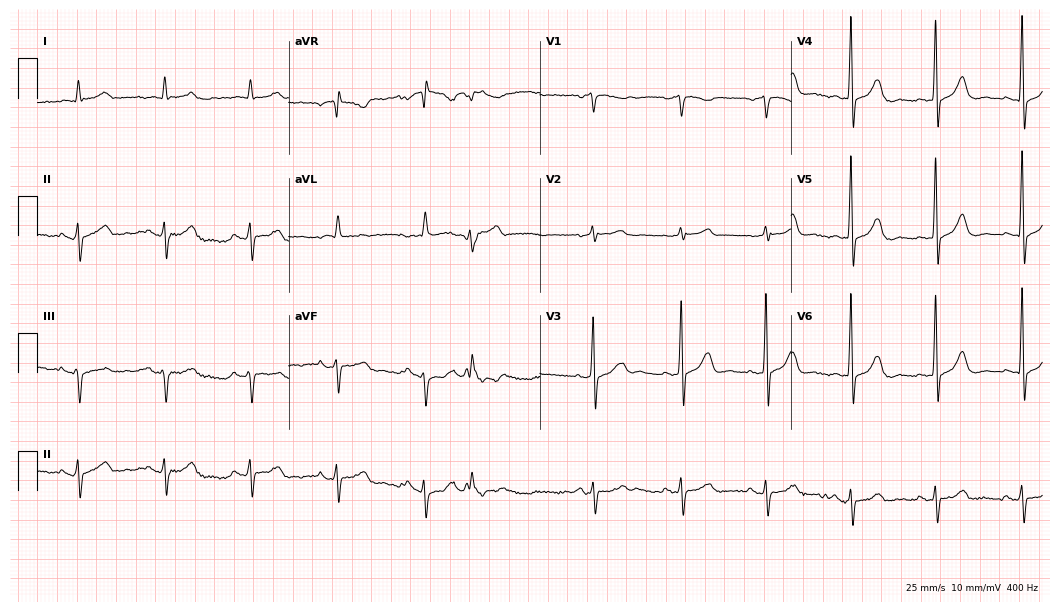
Electrocardiogram (10.2-second recording at 400 Hz), a male patient, 76 years old. Of the six screened findings (first-degree AV block, right bundle branch block (RBBB), left bundle branch block (LBBB), sinus bradycardia, atrial fibrillation (AF), sinus tachycardia), none is recorded. Only these six findings were labelled.